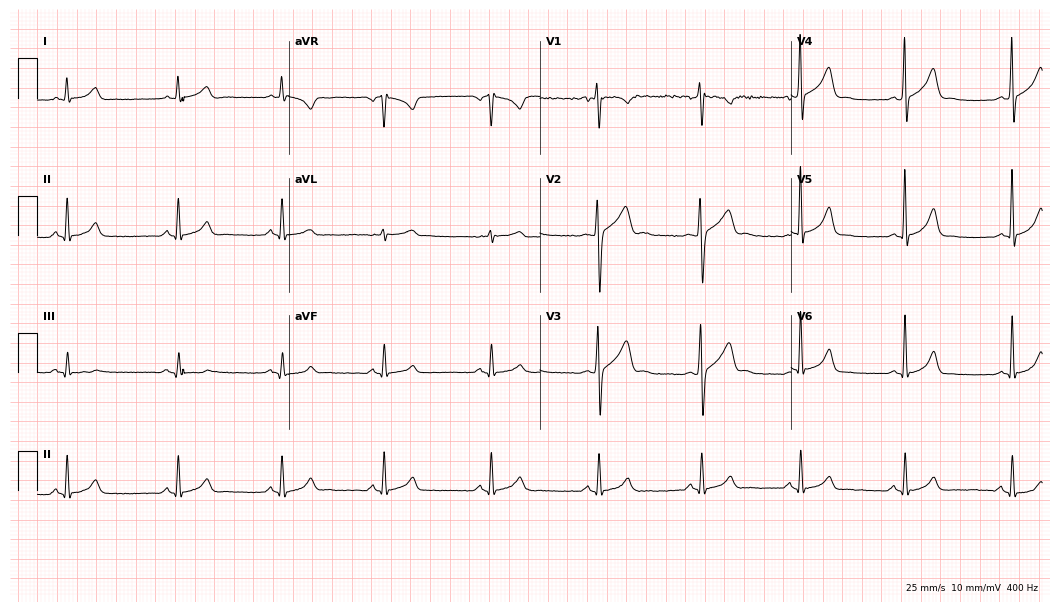
ECG (10.2-second recording at 400 Hz) — a 27-year-old male patient. Labelled as a normal ECG.